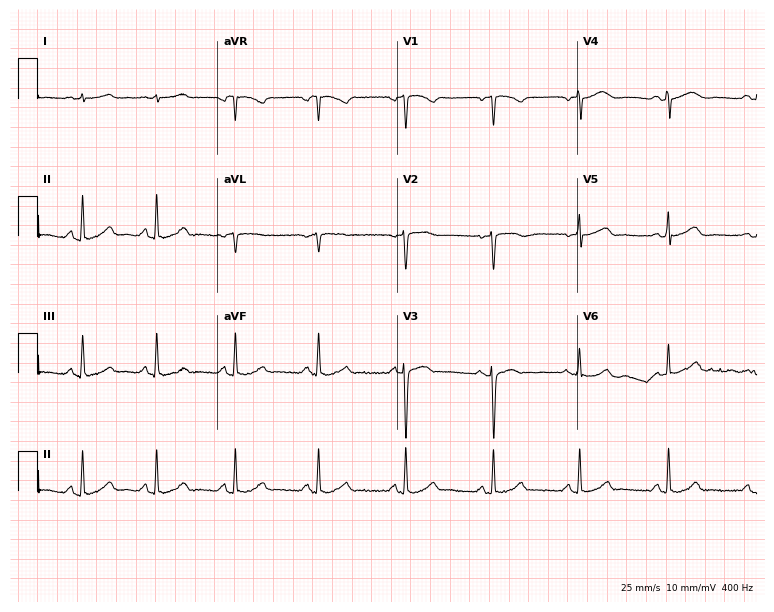
Electrocardiogram (7.3-second recording at 400 Hz), a 60-year-old female. Overall reading on record: normal ECG.